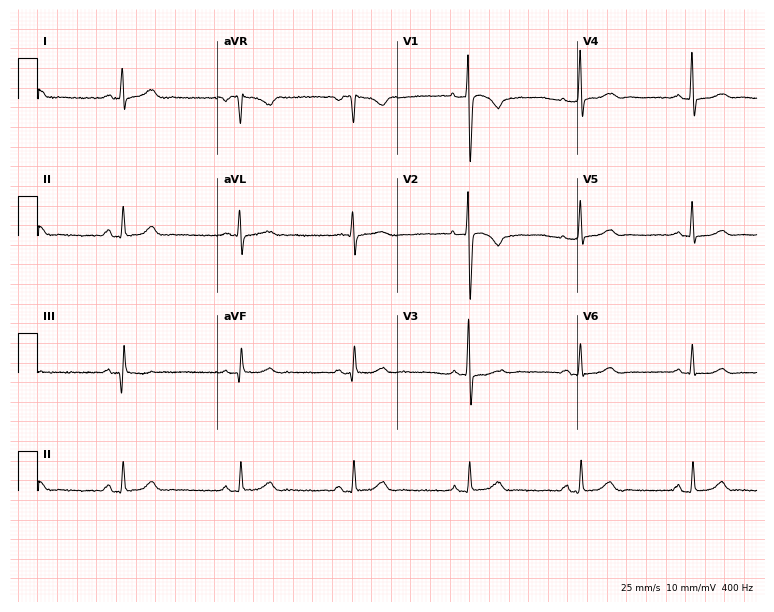
12-lead ECG from a 52-year-old female. Labelled as a normal ECG.